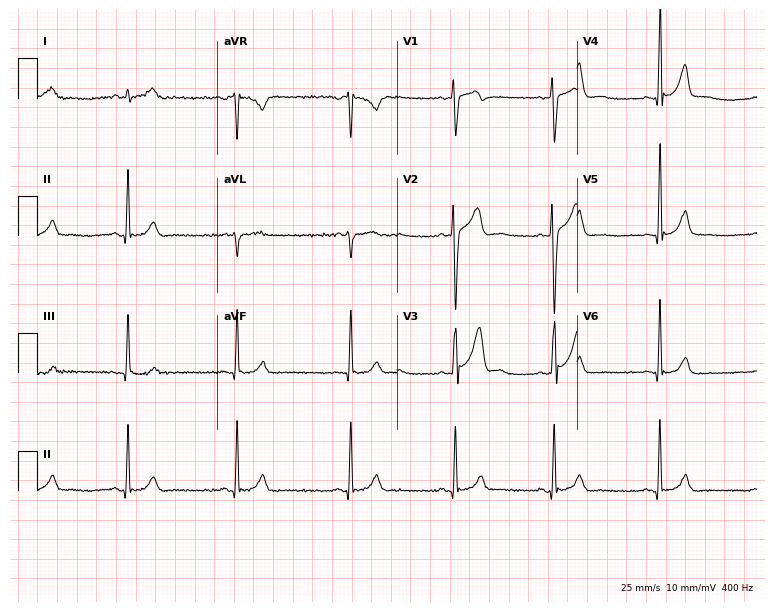
ECG — a man, 29 years old. Screened for six findings — first-degree AV block, right bundle branch block (RBBB), left bundle branch block (LBBB), sinus bradycardia, atrial fibrillation (AF), sinus tachycardia — none is recorded. Findings outside these six are not listed.